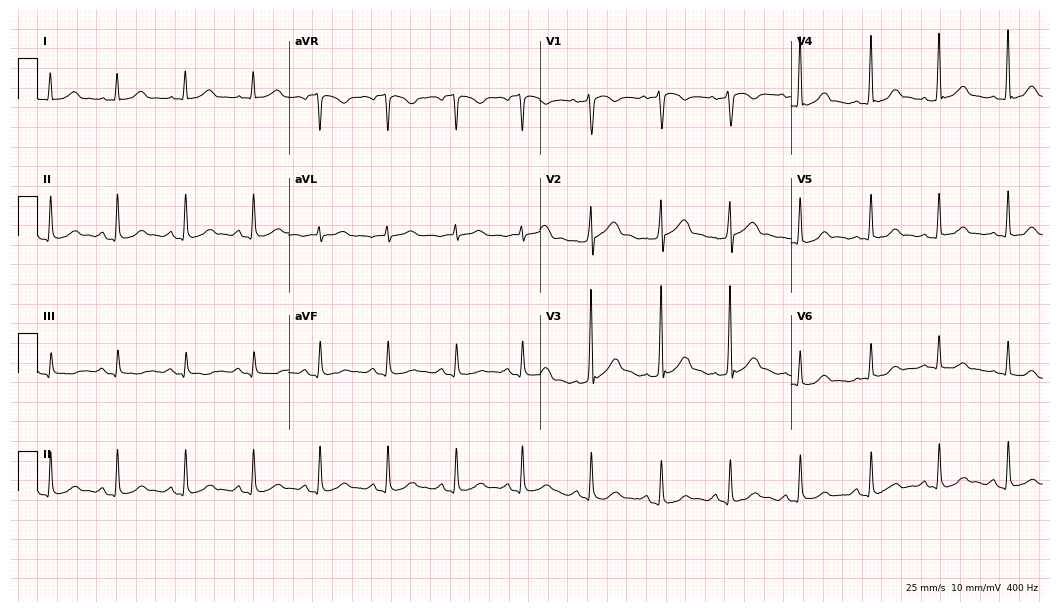
ECG (10.2-second recording at 400 Hz) — a 37-year-old man. Labelled as a normal ECG.